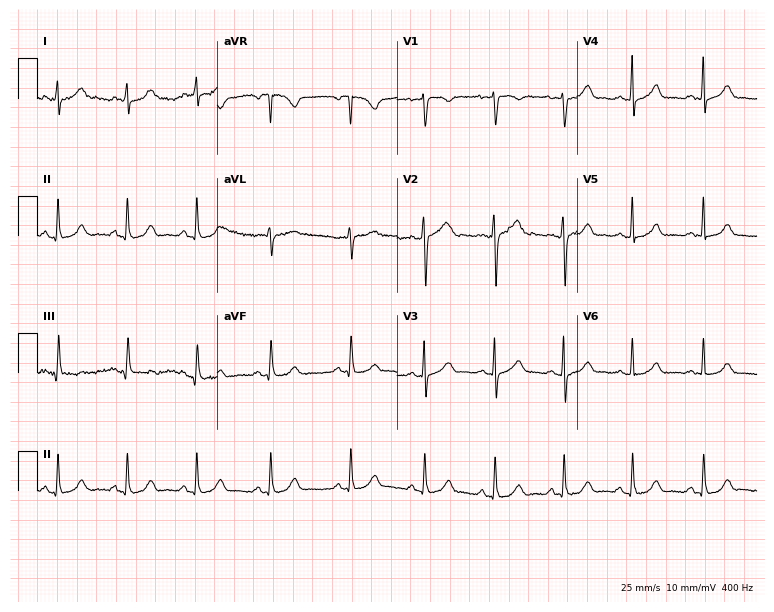
Resting 12-lead electrocardiogram (7.3-second recording at 400 Hz). Patient: a female, 40 years old. Read as a normal ECG.